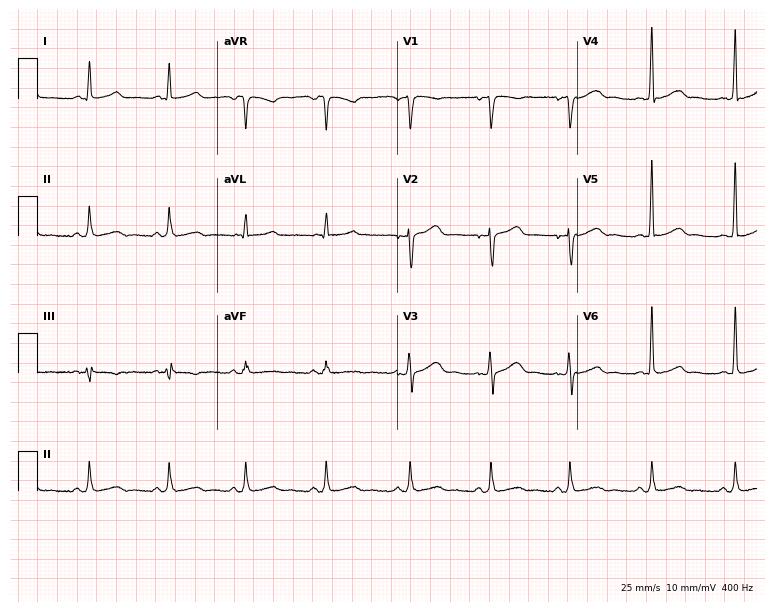
Electrocardiogram, a female, 34 years old. Overall reading on record: normal ECG.